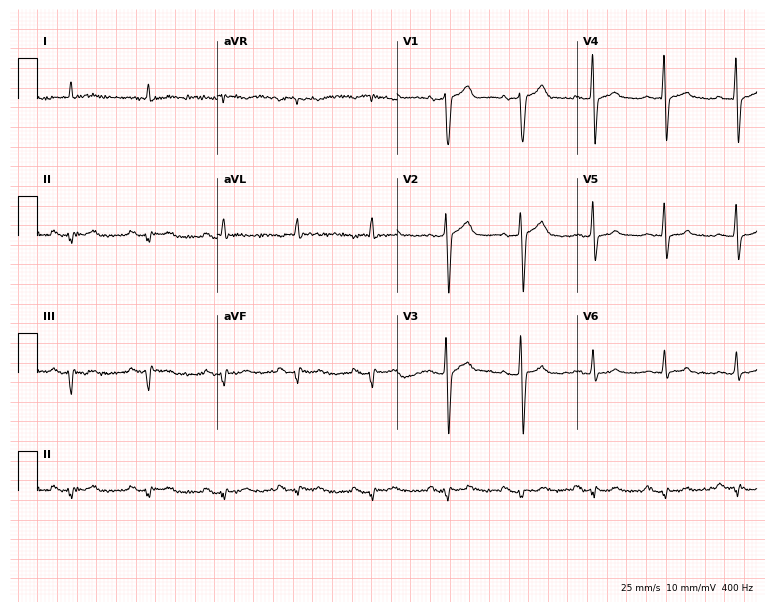
ECG (7.3-second recording at 400 Hz) — a male, 83 years old. Screened for six findings — first-degree AV block, right bundle branch block, left bundle branch block, sinus bradycardia, atrial fibrillation, sinus tachycardia — none is recorded. Other findings, if any, are not listed.